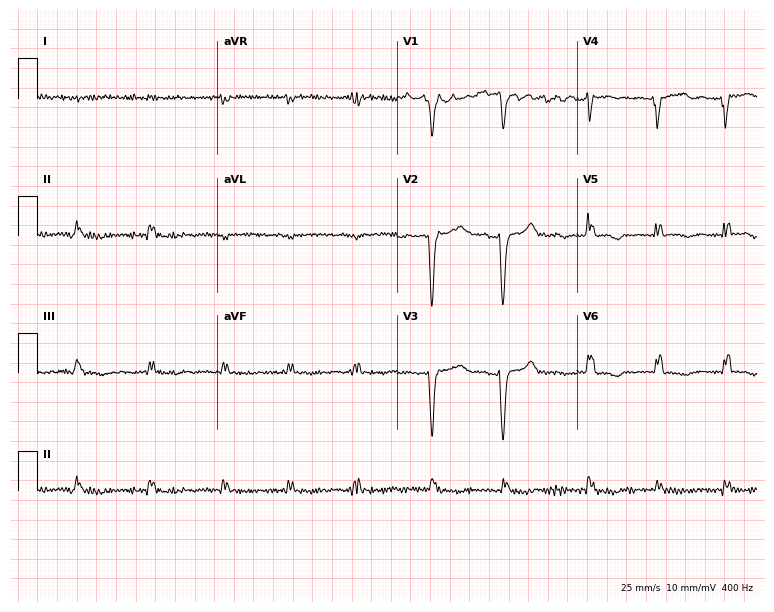
Electrocardiogram, a 66-year-old man. Interpretation includes left bundle branch block, atrial fibrillation.